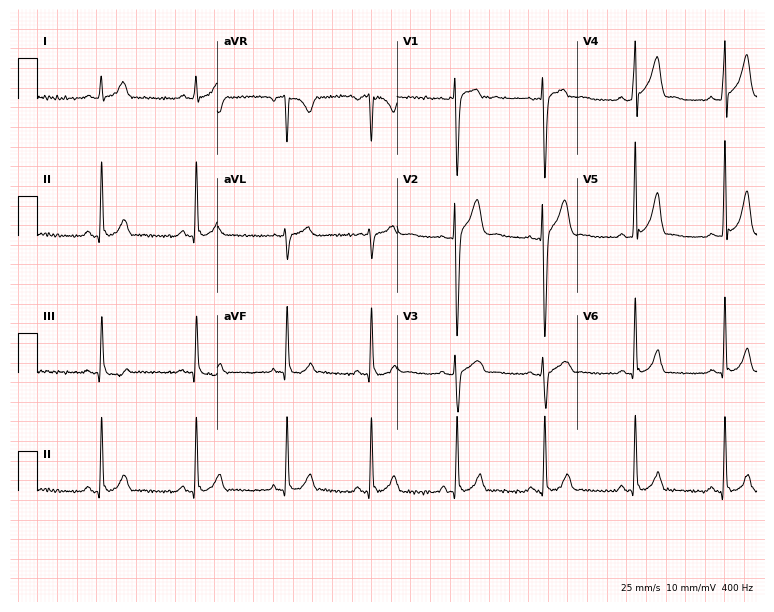
12-lead ECG from a 32-year-old male. Labelled as a normal ECG.